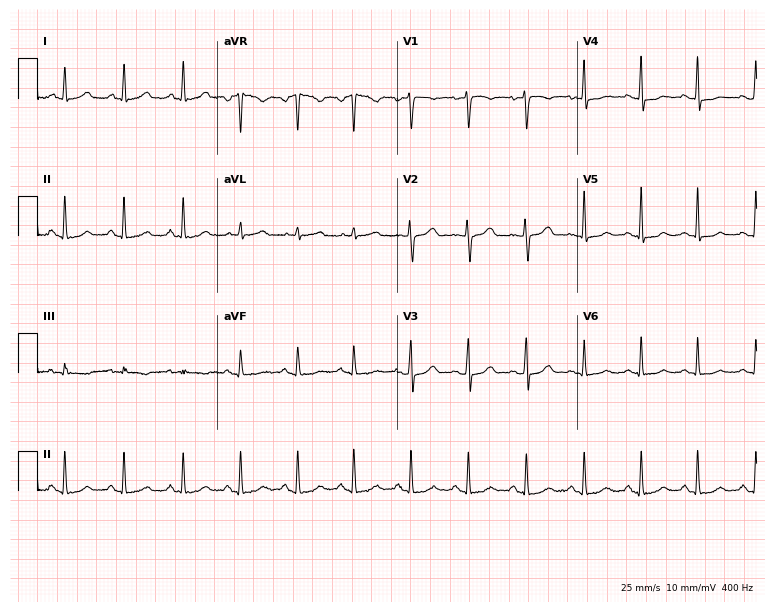
12-lead ECG from a 39-year-old woman (7.3-second recording at 400 Hz). Shows sinus tachycardia (a sinus rate of 100 beats per minute or more).